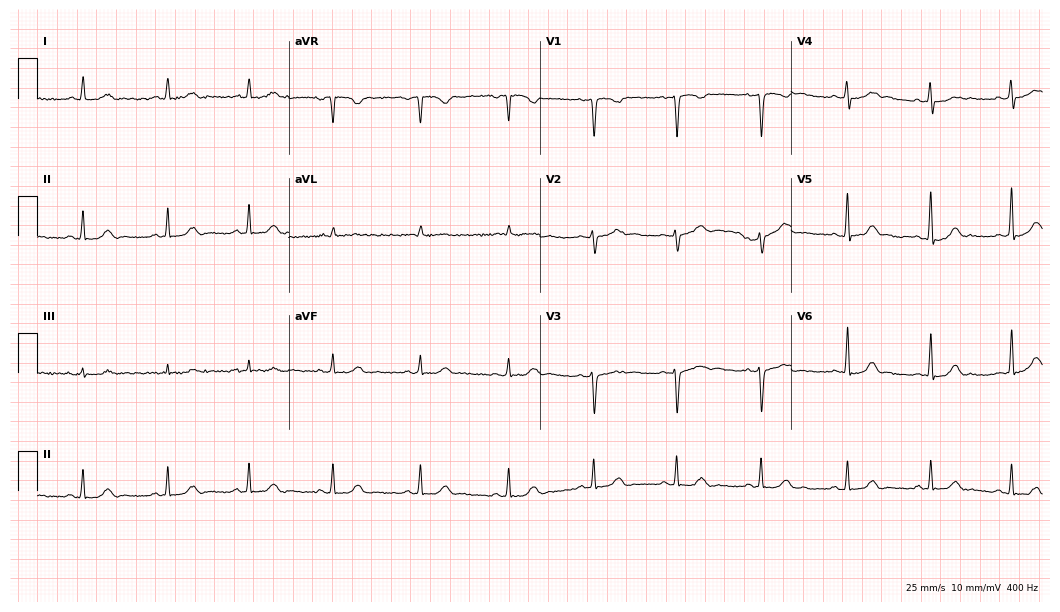
Standard 12-lead ECG recorded from a 36-year-old woman. Read as a normal ECG.